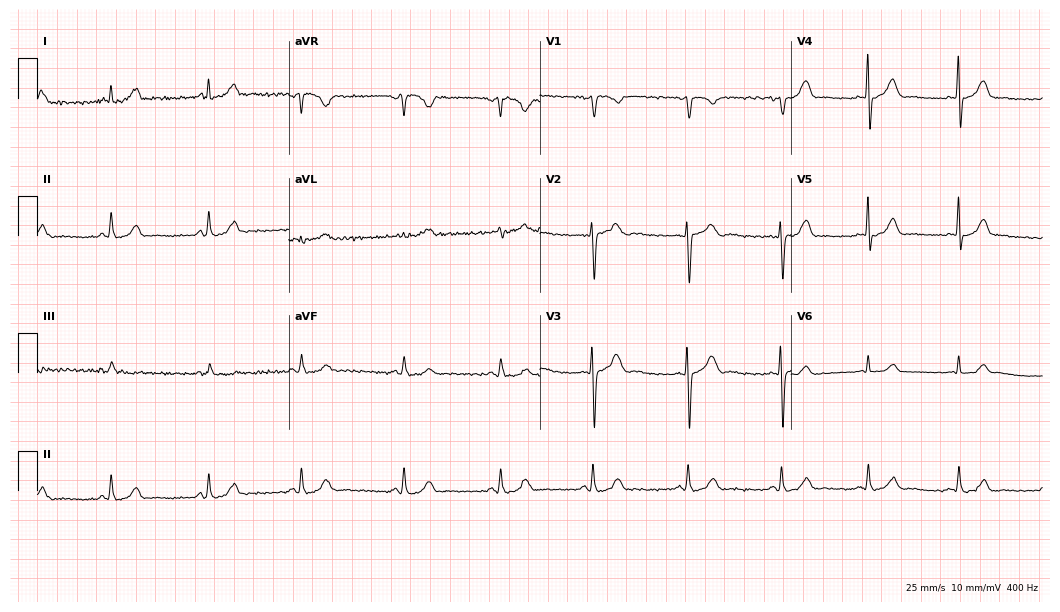
Resting 12-lead electrocardiogram (10.2-second recording at 400 Hz). Patient: a 31-year-old female. None of these six findings is recorded: first-degree AV block, right bundle branch block, left bundle branch block, sinus bradycardia, atrial fibrillation, sinus tachycardia.